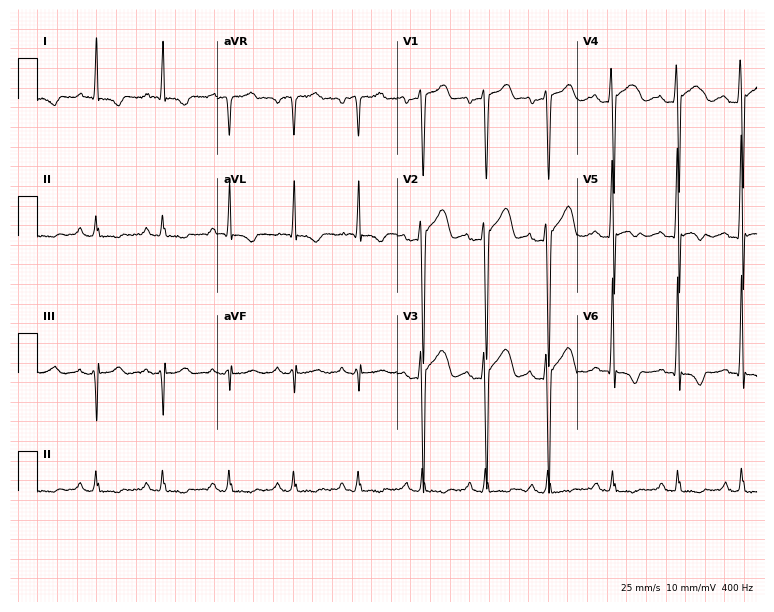
12-lead ECG from a 52-year-old male (7.3-second recording at 400 Hz). No first-degree AV block, right bundle branch block, left bundle branch block, sinus bradycardia, atrial fibrillation or sinus tachycardia recorded for this tracing. Only these six findings were labelled.